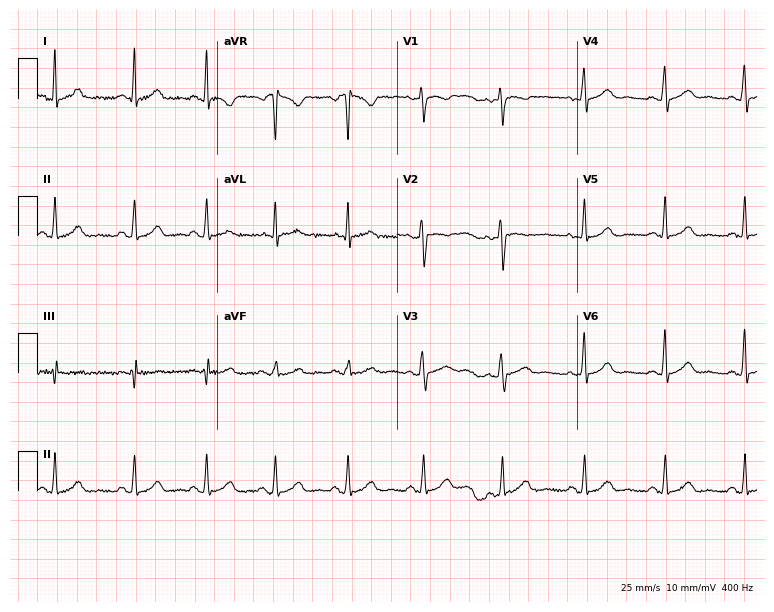
ECG — a woman, 37 years old. Labelled as a normal ECG.